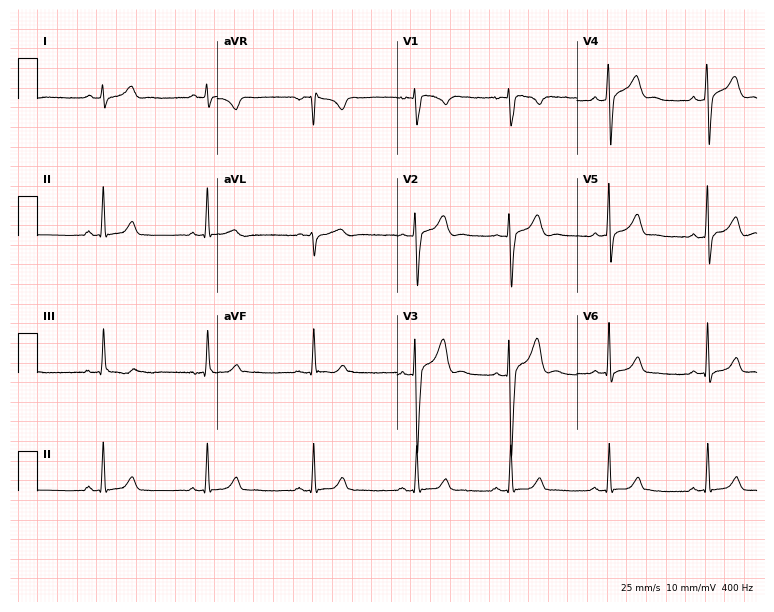
Electrocardiogram (7.3-second recording at 400 Hz), a man, 24 years old. Overall reading on record: normal ECG.